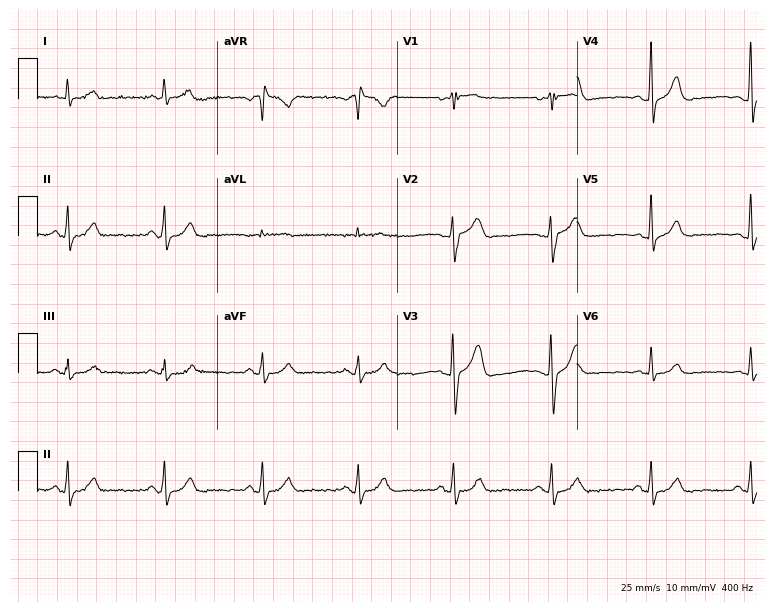
Standard 12-lead ECG recorded from a male patient, 56 years old (7.3-second recording at 400 Hz). Read as a normal ECG.